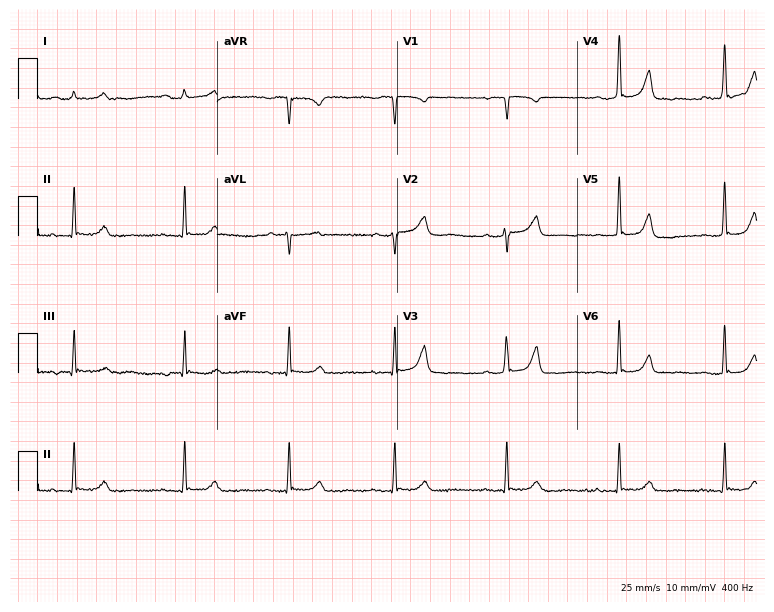
ECG — a 45-year-old woman. Screened for six findings — first-degree AV block, right bundle branch block, left bundle branch block, sinus bradycardia, atrial fibrillation, sinus tachycardia — none is recorded.